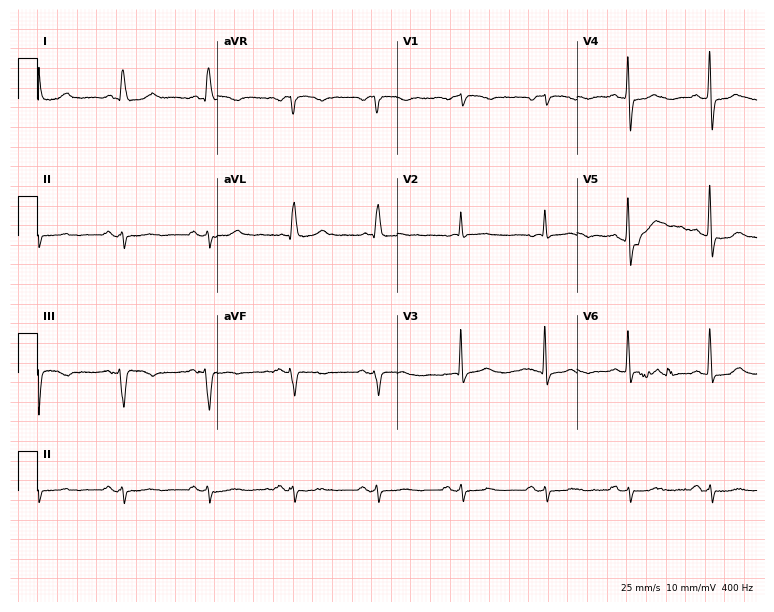
12-lead ECG from a female, 76 years old (7.3-second recording at 400 Hz). No first-degree AV block, right bundle branch block, left bundle branch block, sinus bradycardia, atrial fibrillation or sinus tachycardia recorded for this tracing. Only these six findings were labelled.